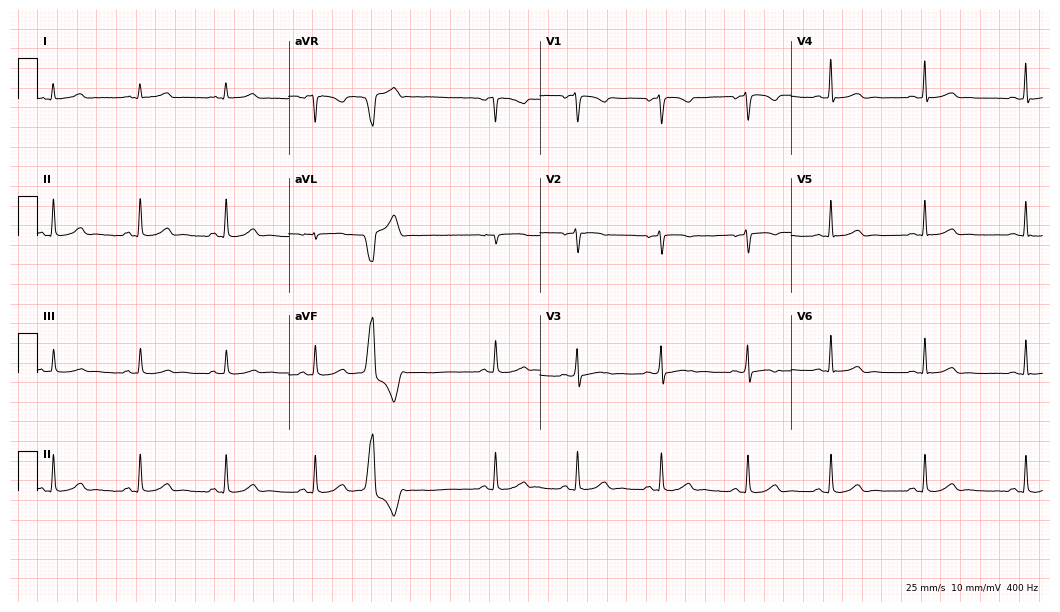
ECG (10.2-second recording at 400 Hz) — a 38-year-old woman. Screened for six findings — first-degree AV block, right bundle branch block, left bundle branch block, sinus bradycardia, atrial fibrillation, sinus tachycardia — none is recorded. Only these six findings were labelled.